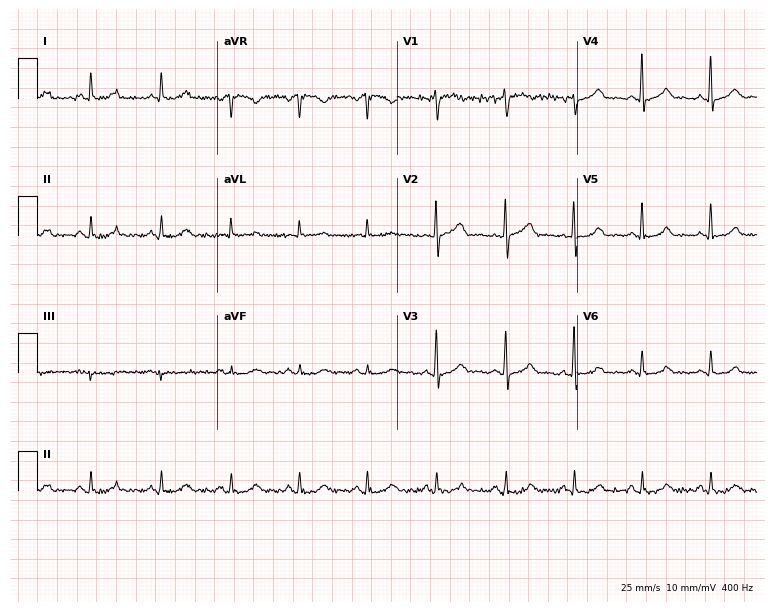
12-lead ECG from a female, 60 years old. Screened for six findings — first-degree AV block, right bundle branch block, left bundle branch block, sinus bradycardia, atrial fibrillation, sinus tachycardia — none is recorded. Findings outside these six are not listed.